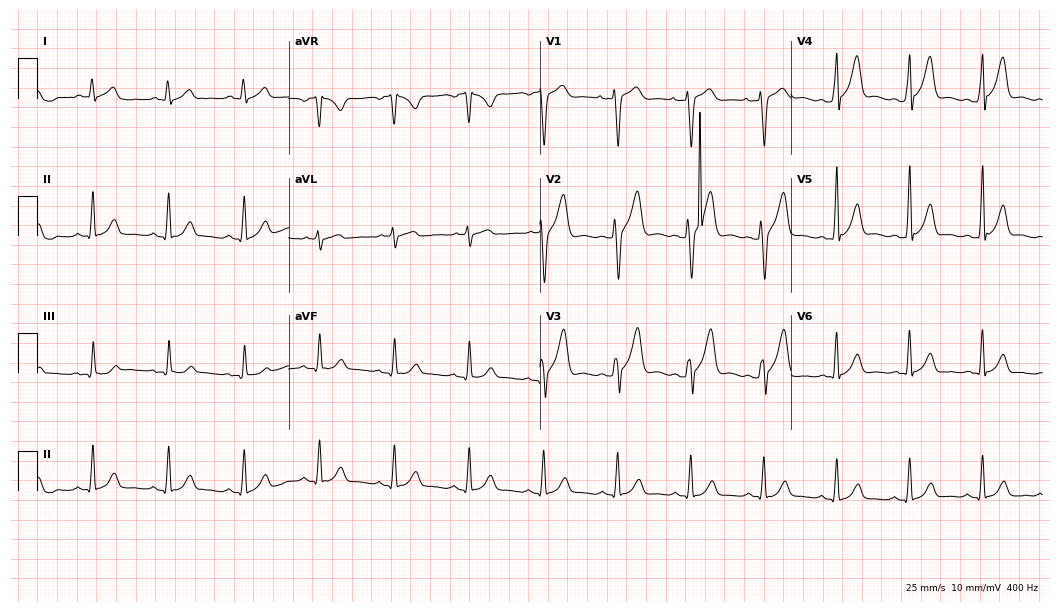
12-lead ECG (10.2-second recording at 400 Hz) from a male, 30 years old. Labelled as a normal ECG.